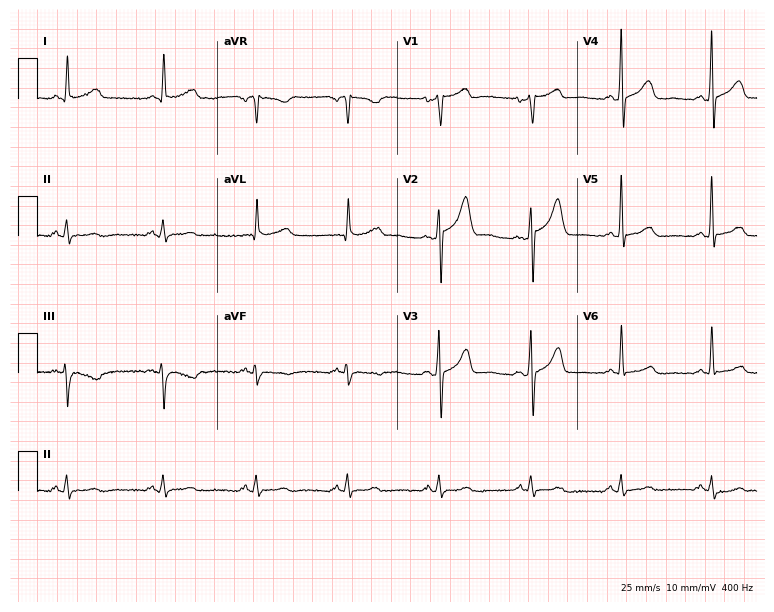
12-lead ECG from a 57-year-old male. No first-degree AV block, right bundle branch block, left bundle branch block, sinus bradycardia, atrial fibrillation or sinus tachycardia recorded for this tracing. Only these six findings were labelled.